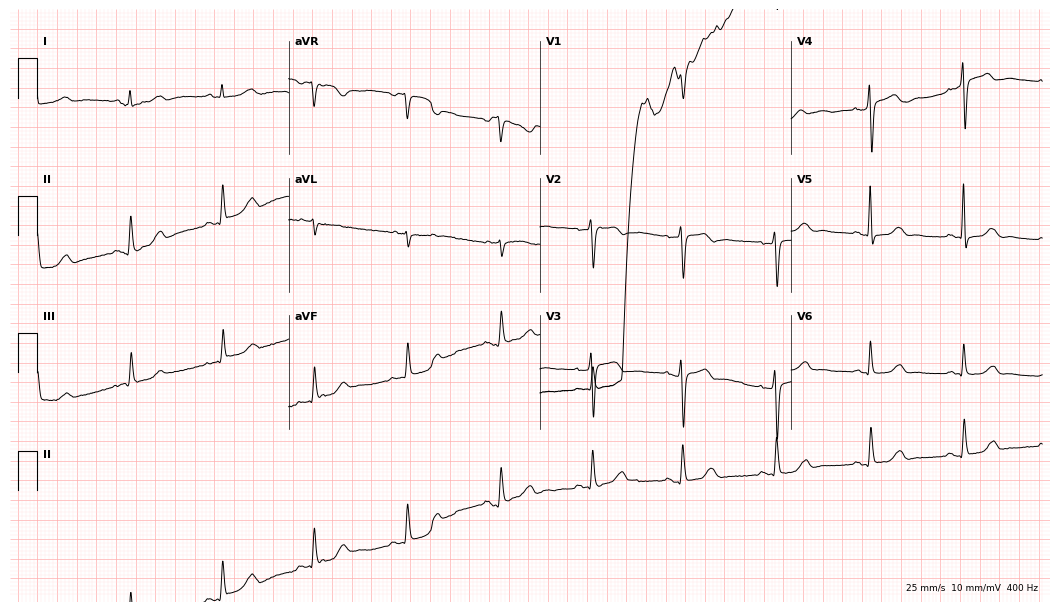
ECG (10.2-second recording at 400 Hz) — a 66-year-old female patient. Labelled as a normal ECG.